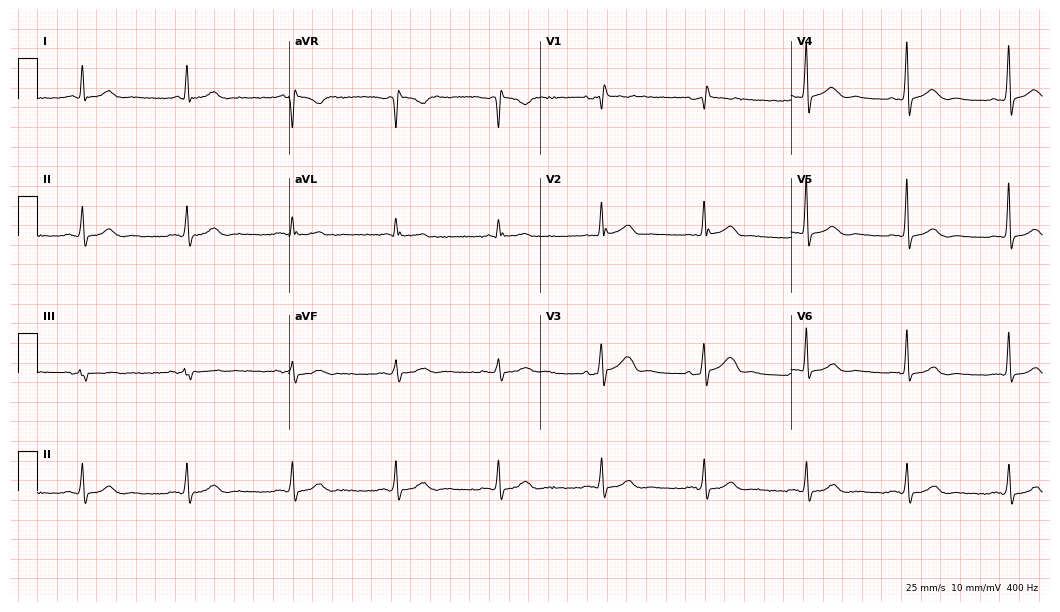
Electrocardiogram, a 78-year-old male patient. Of the six screened findings (first-degree AV block, right bundle branch block (RBBB), left bundle branch block (LBBB), sinus bradycardia, atrial fibrillation (AF), sinus tachycardia), none is recorded. Other findings, if any, are not listed.